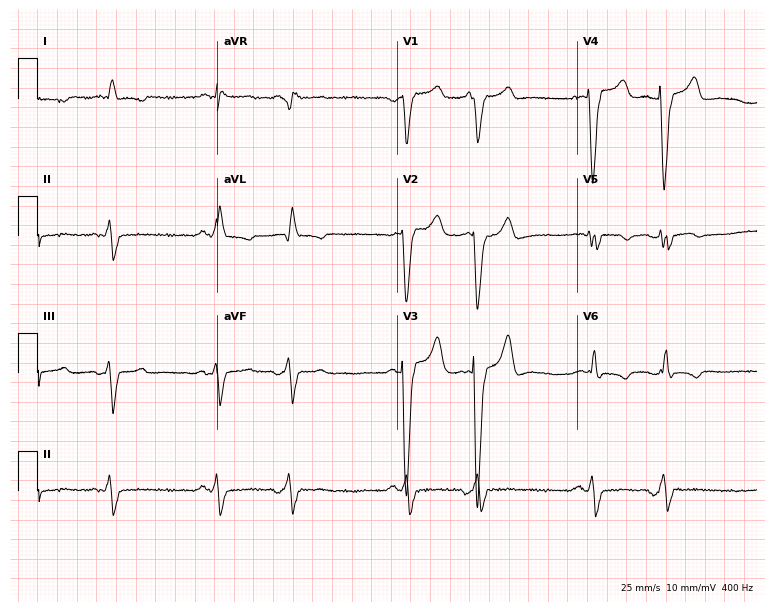
12-lead ECG from a male patient, 81 years old (7.3-second recording at 400 Hz). No first-degree AV block, right bundle branch block, left bundle branch block, sinus bradycardia, atrial fibrillation or sinus tachycardia recorded for this tracing. Other findings, if any, are not listed.